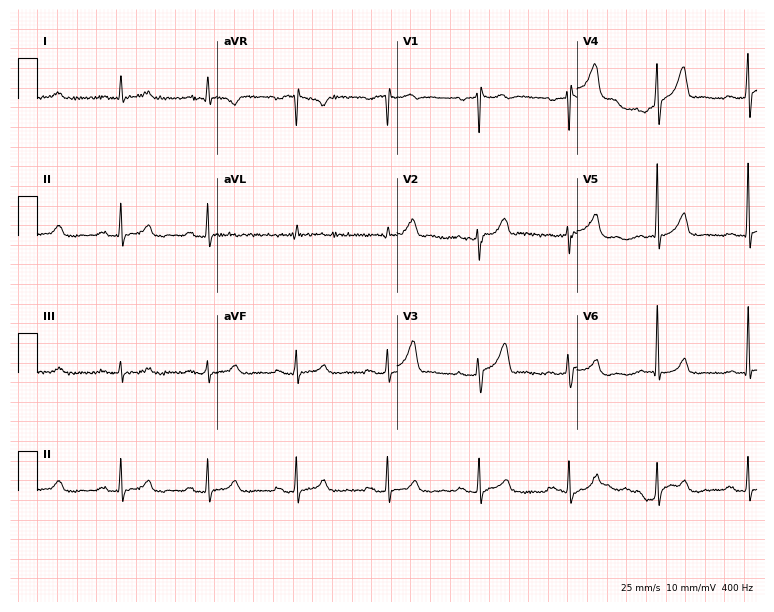
12-lead ECG from a 53-year-old man. Screened for six findings — first-degree AV block, right bundle branch block, left bundle branch block, sinus bradycardia, atrial fibrillation, sinus tachycardia — none is recorded.